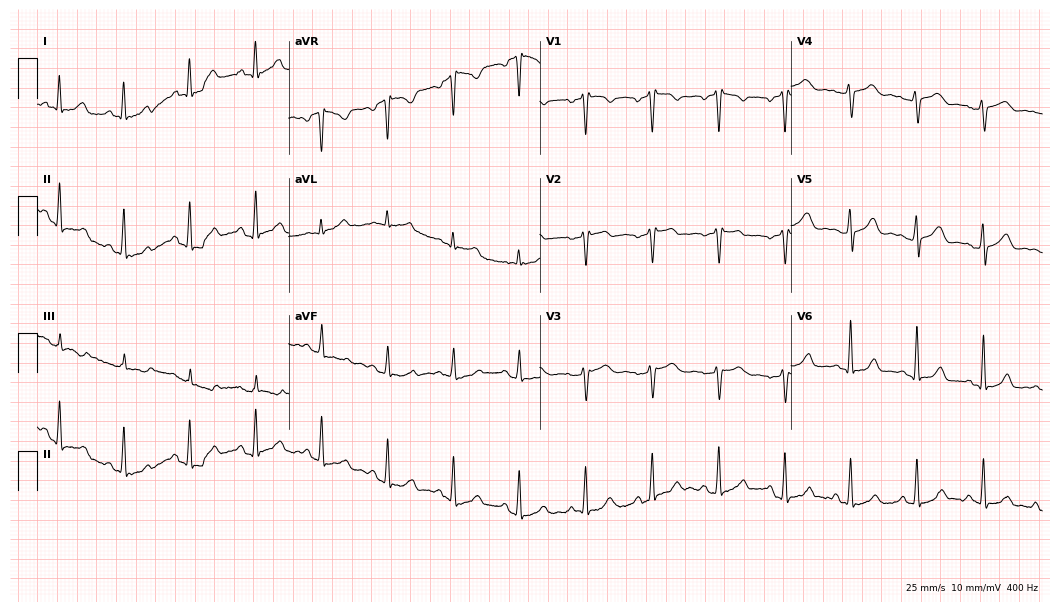
Standard 12-lead ECG recorded from a 39-year-old female patient. None of these six findings is recorded: first-degree AV block, right bundle branch block, left bundle branch block, sinus bradycardia, atrial fibrillation, sinus tachycardia. Other findings, if any, are not listed.